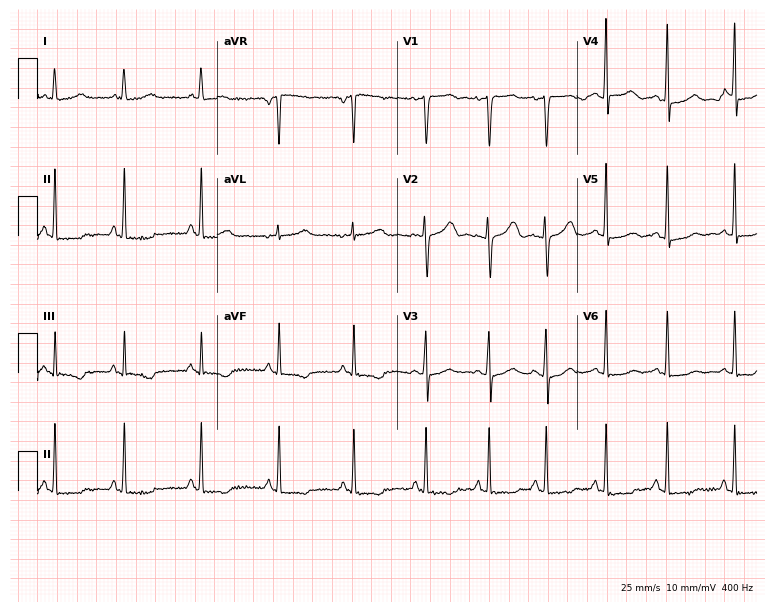
Electrocardiogram, a 23-year-old female patient. Of the six screened findings (first-degree AV block, right bundle branch block (RBBB), left bundle branch block (LBBB), sinus bradycardia, atrial fibrillation (AF), sinus tachycardia), none is recorded. Findings outside these six are not listed.